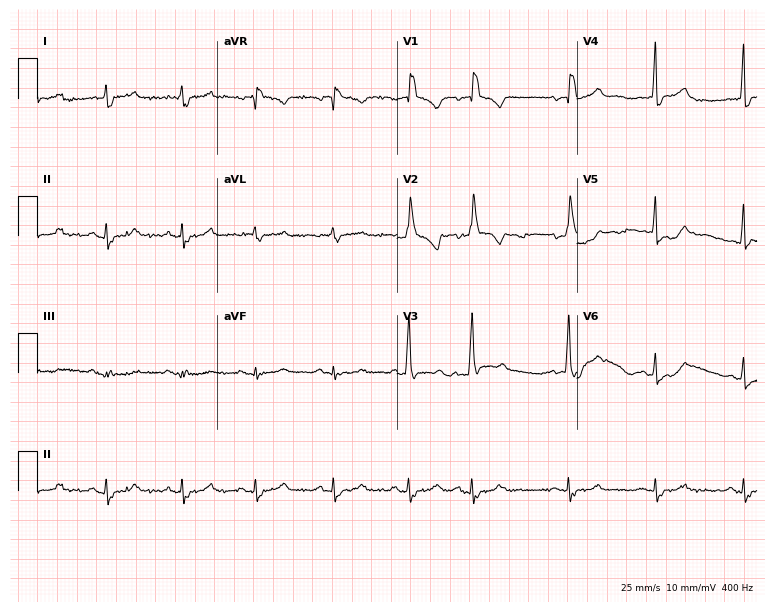
12-lead ECG from a male, 83 years old. Shows right bundle branch block.